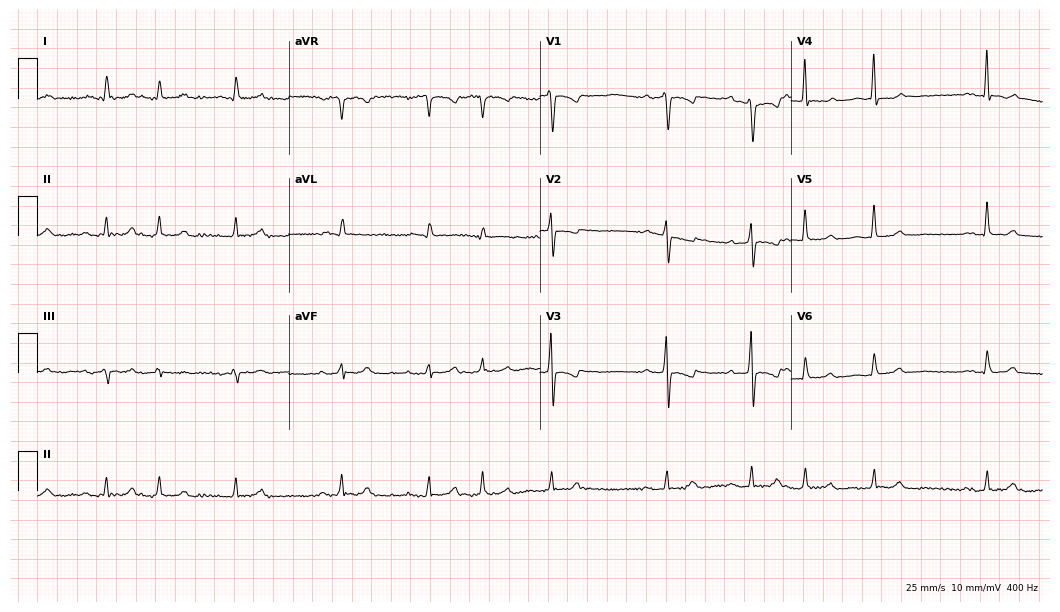
Electrocardiogram, a 77-year-old female. Of the six screened findings (first-degree AV block, right bundle branch block (RBBB), left bundle branch block (LBBB), sinus bradycardia, atrial fibrillation (AF), sinus tachycardia), none is recorded.